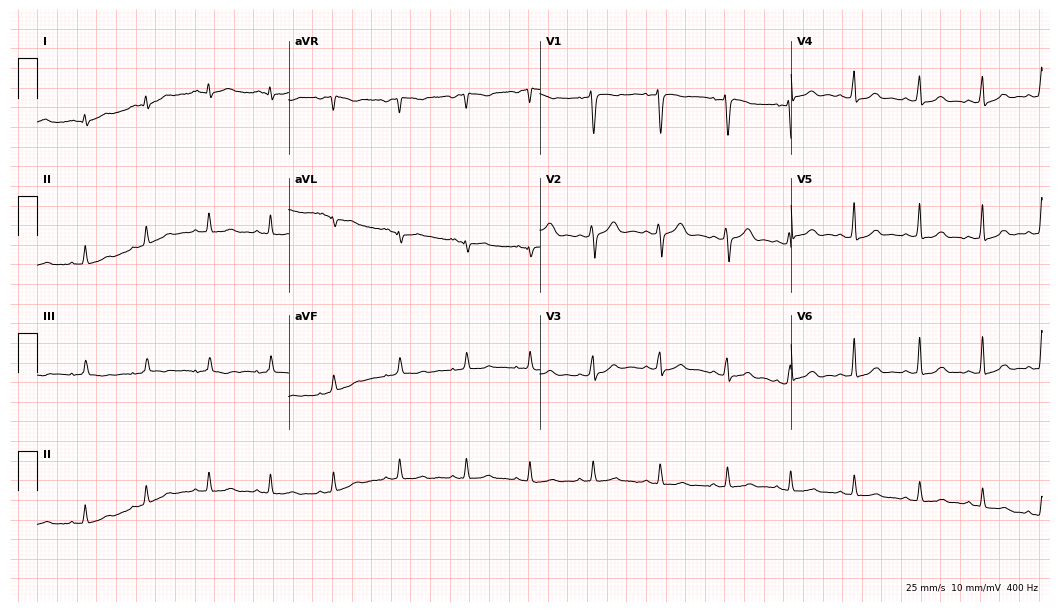
12-lead ECG (10.2-second recording at 400 Hz) from a female patient, 20 years old. Labelled as a normal ECG.